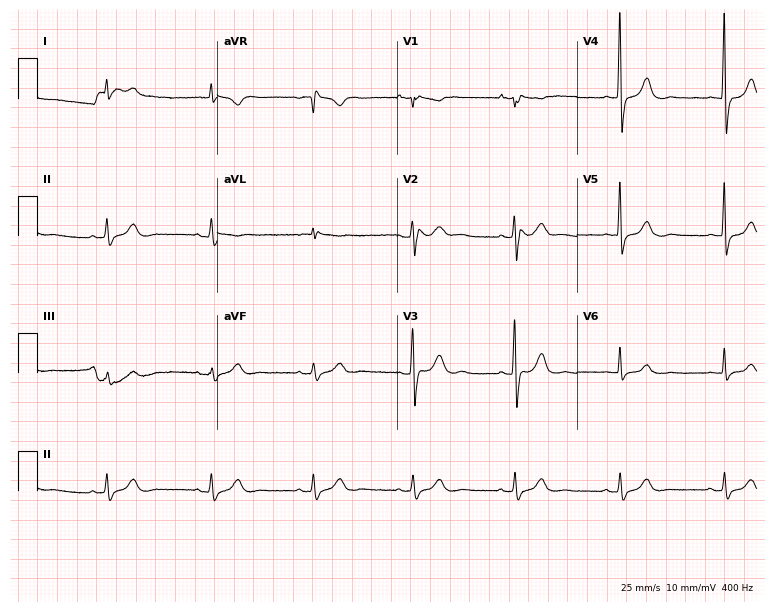
ECG (7.3-second recording at 400 Hz) — a male, 82 years old. Screened for six findings — first-degree AV block, right bundle branch block, left bundle branch block, sinus bradycardia, atrial fibrillation, sinus tachycardia — none is recorded.